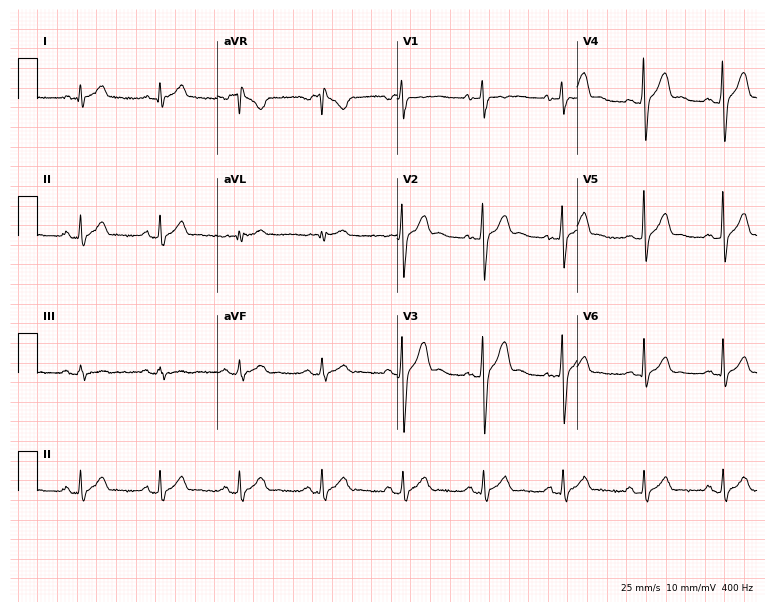
Electrocardiogram, a 32-year-old male. Of the six screened findings (first-degree AV block, right bundle branch block, left bundle branch block, sinus bradycardia, atrial fibrillation, sinus tachycardia), none is recorded. Only these six findings were labelled.